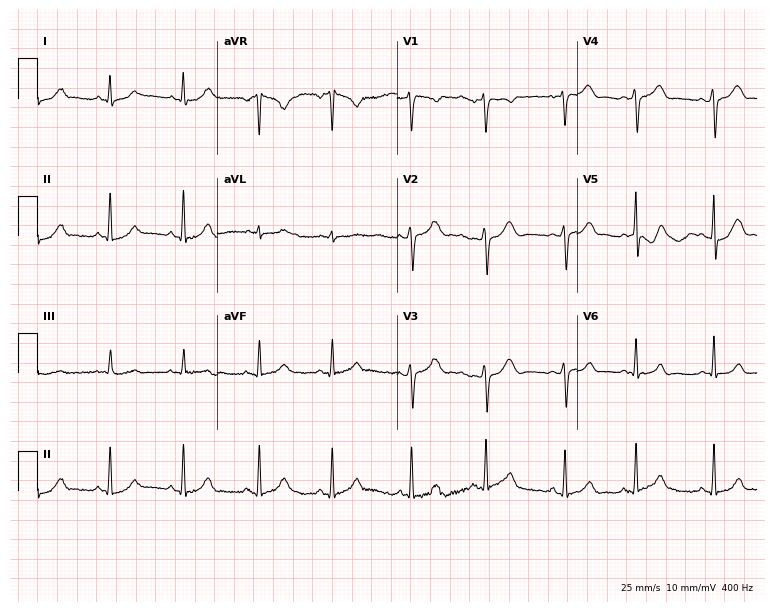
Standard 12-lead ECG recorded from an 18-year-old woman. Read as a normal ECG.